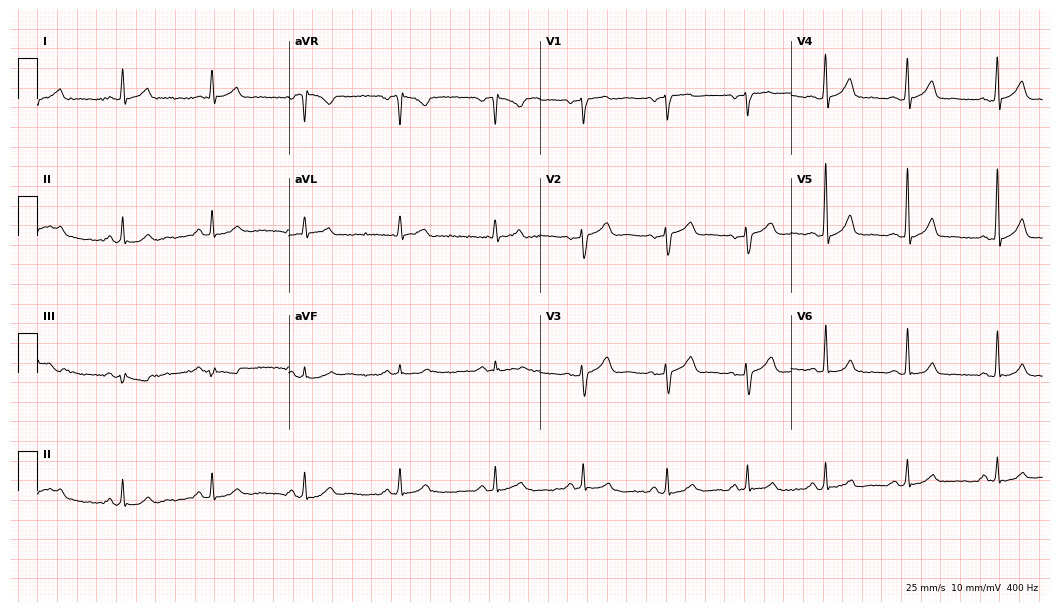
12-lead ECG from a man, 32 years old (10.2-second recording at 400 Hz). Recorded interpretation: within normal limits.